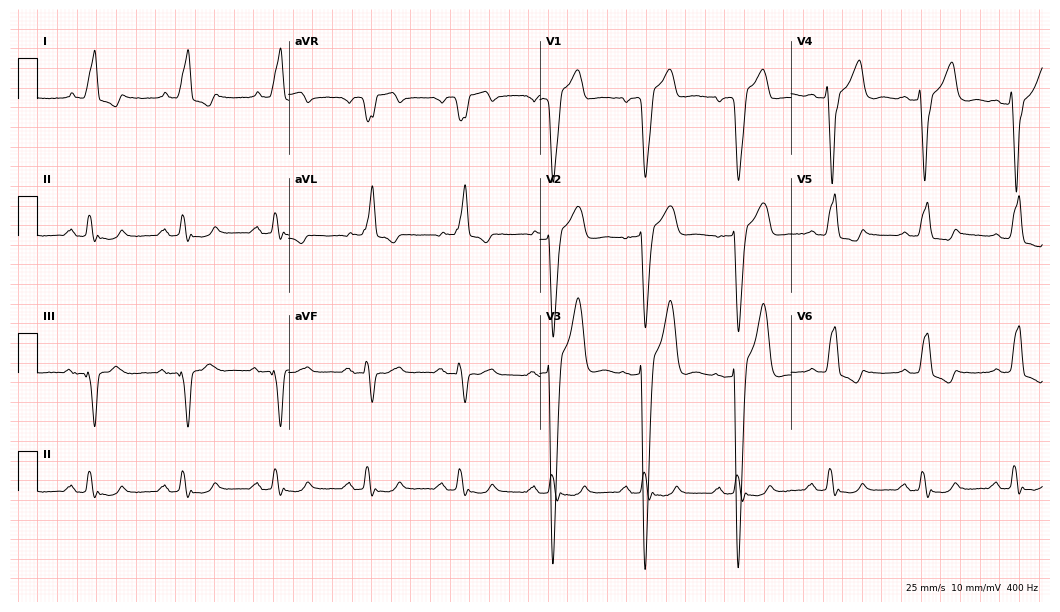
Resting 12-lead electrocardiogram (10.2-second recording at 400 Hz). Patient: a 69-year-old man. The tracing shows left bundle branch block.